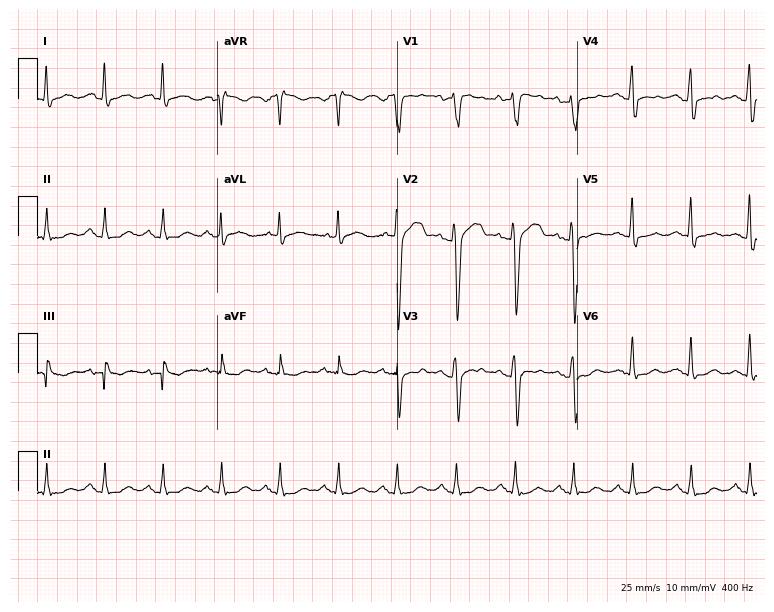
12-lead ECG from a male patient, 55 years old. Recorded interpretation: within normal limits.